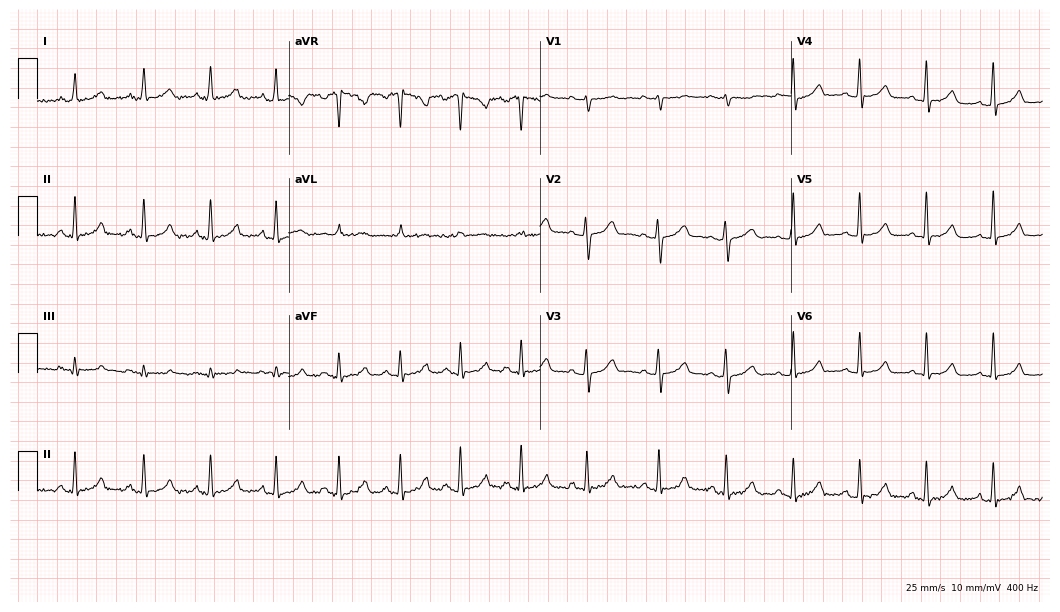
ECG — a 27-year-old woman. Screened for six findings — first-degree AV block, right bundle branch block, left bundle branch block, sinus bradycardia, atrial fibrillation, sinus tachycardia — none is recorded. Other findings, if any, are not listed.